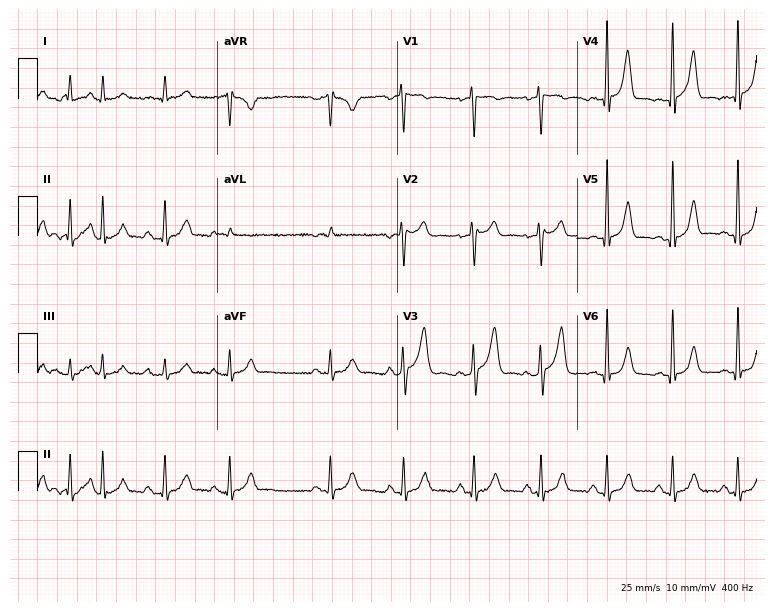
Electrocardiogram (7.3-second recording at 400 Hz), a 58-year-old man. Of the six screened findings (first-degree AV block, right bundle branch block, left bundle branch block, sinus bradycardia, atrial fibrillation, sinus tachycardia), none is recorded.